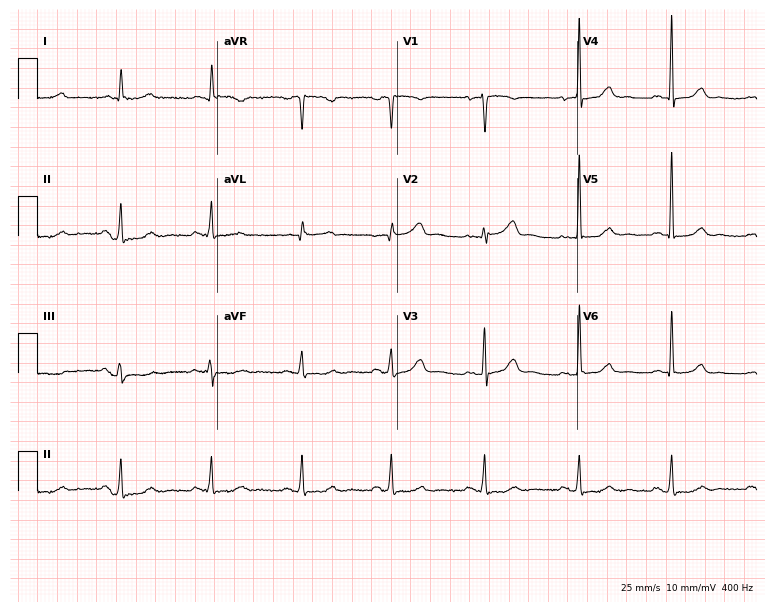
12-lead ECG from a 61-year-old female. Recorded interpretation: within normal limits.